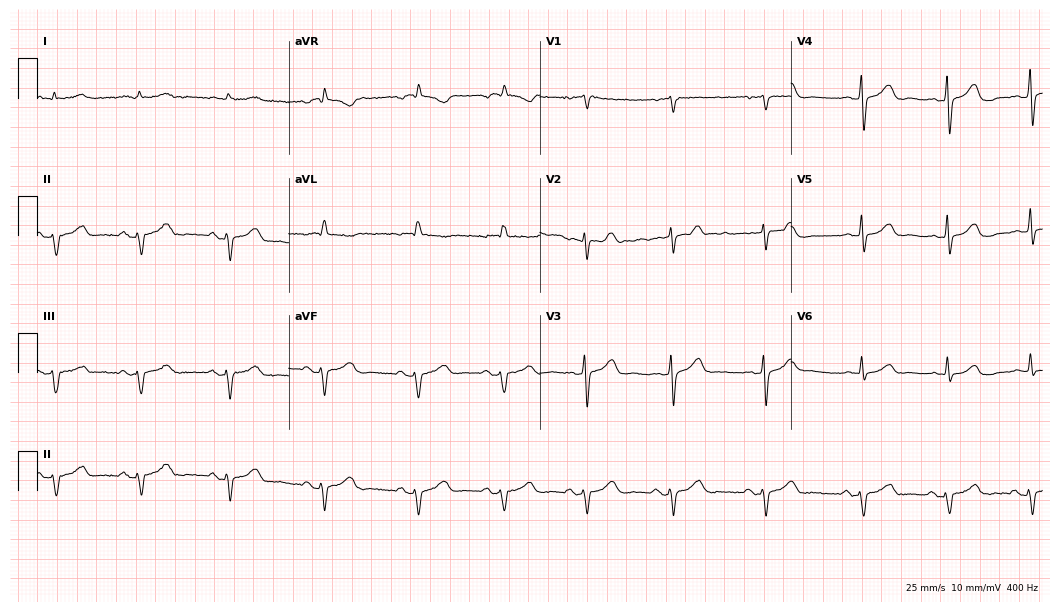
ECG — a man, 73 years old. Screened for six findings — first-degree AV block, right bundle branch block (RBBB), left bundle branch block (LBBB), sinus bradycardia, atrial fibrillation (AF), sinus tachycardia — none is recorded. Other findings, if any, are not listed.